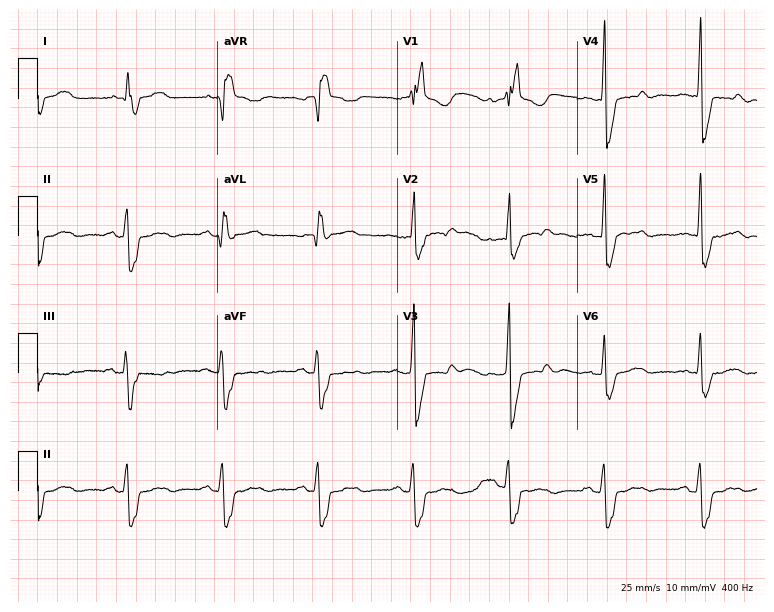
Resting 12-lead electrocardiogram (7.3-second recording at 400 Hz). Patient: a male, 49 years old. The tracing shows right bundle branch block.